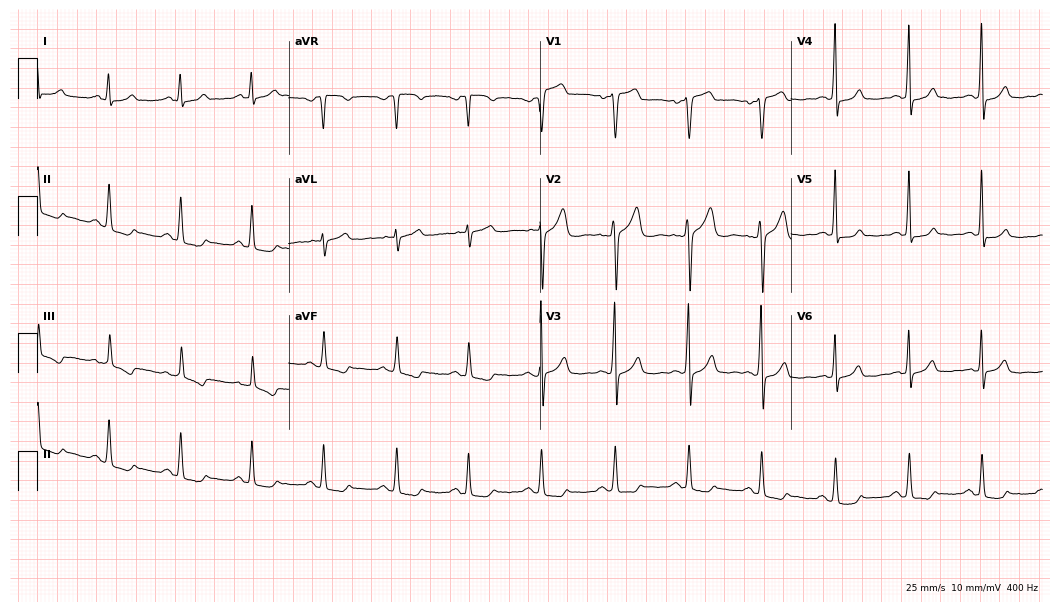
ECG — a 49-year-old man. Screened for six findings — first-degree AV block, right bundle branch block, left bundle branch block, sinus bradycardia, atrial fibrillation, sinus tachycardia — none is recorded.